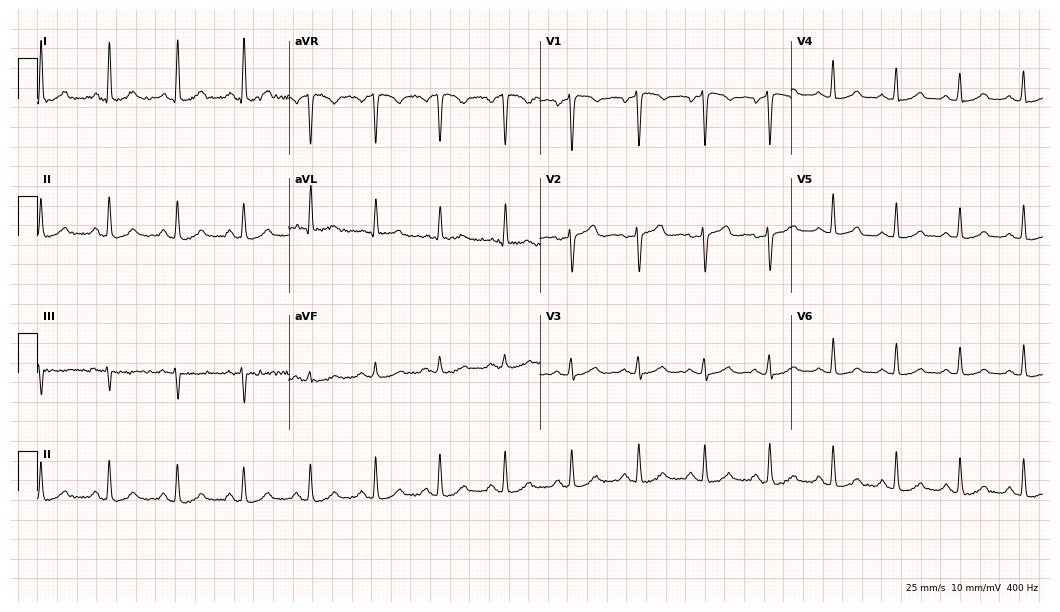
12-lead ECG from a female, 52 years old. Screened for six findings — first-degree AV block, right bundle branch block, left bundle branch block, sinus bradycardia, atrial fibrillation, sinus tachycardia — none is recorded. Only these six findings were labelled.